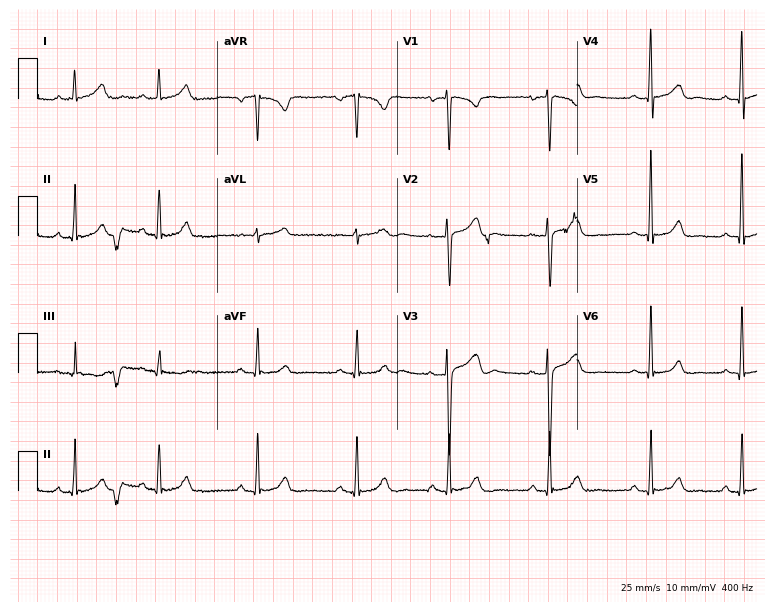
ECG (7.3-second recording at 400 Hz) — a 33-year-old woman. Labelled as a normal ECG.